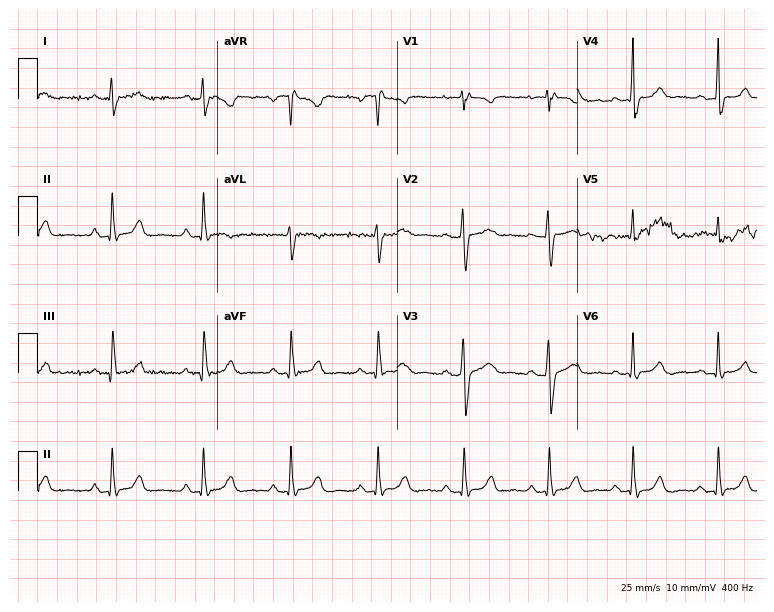
ECG (7.3-second recording at 400 Hz) — a 34-year-old woman. Labelled as a normal ECG.